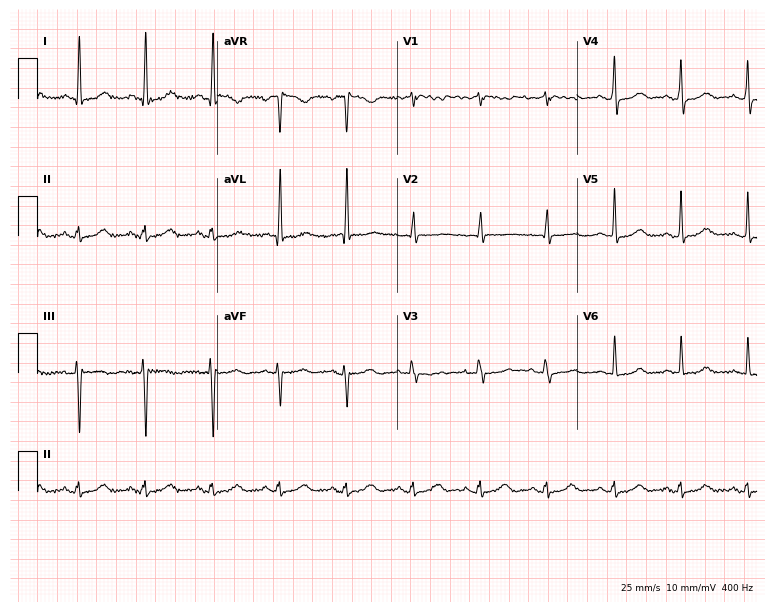
Electrocardiogram (7.3-second recording at 400 Hz), a woman, 69 years old. Overall reading on record: normal ECG.